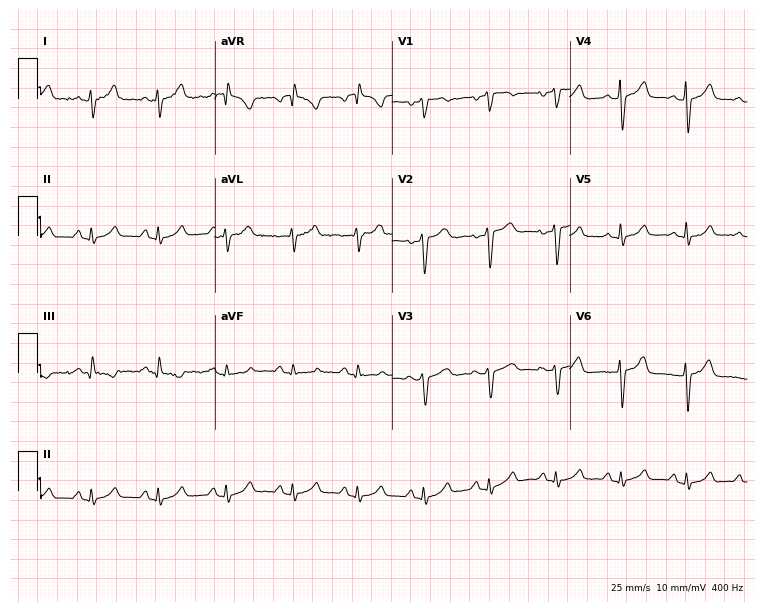
Electrocardiogram, a 41-year-old woman. Of the six screened findings (first-degree AV block, right bundle branch block, left bundle branch block, sinus bradycardia, atrial fibrillation, sinus tachycardia), none is recorded. Other findings, if any, are not listed.